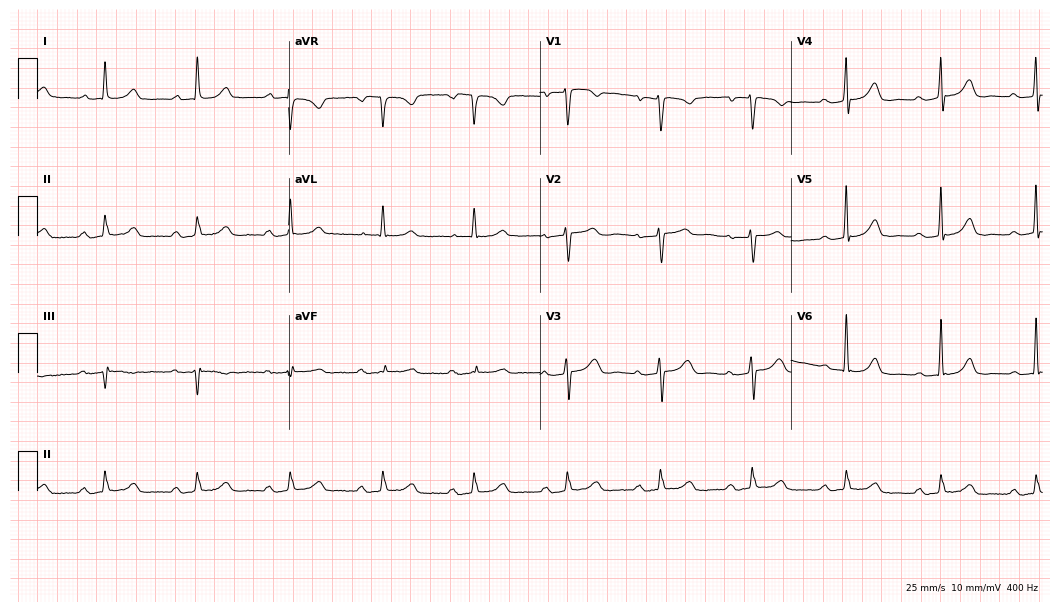
12-lead ECG from a woman, 78 years old. Shows first-degree AV block.